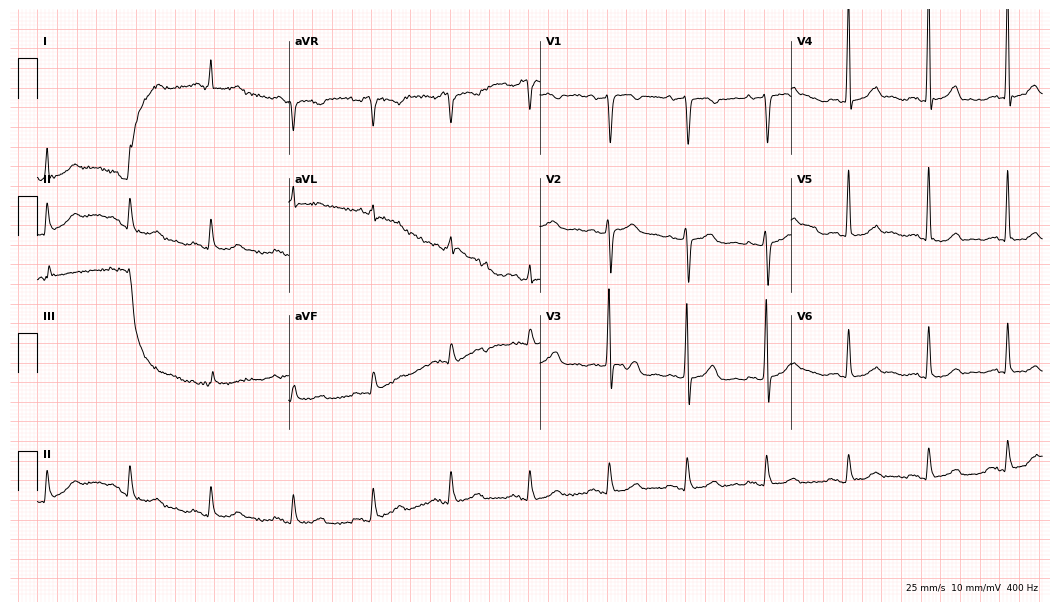
Electrocardiogram, a woman, 79 years old. Of the six screened findings (first-degree AV block, right bundle branch block, left bundle branch block, sinus bradycardia, atrial fibrillation, sinus tachycardia), none is recorded. Only these six findings were labelled.